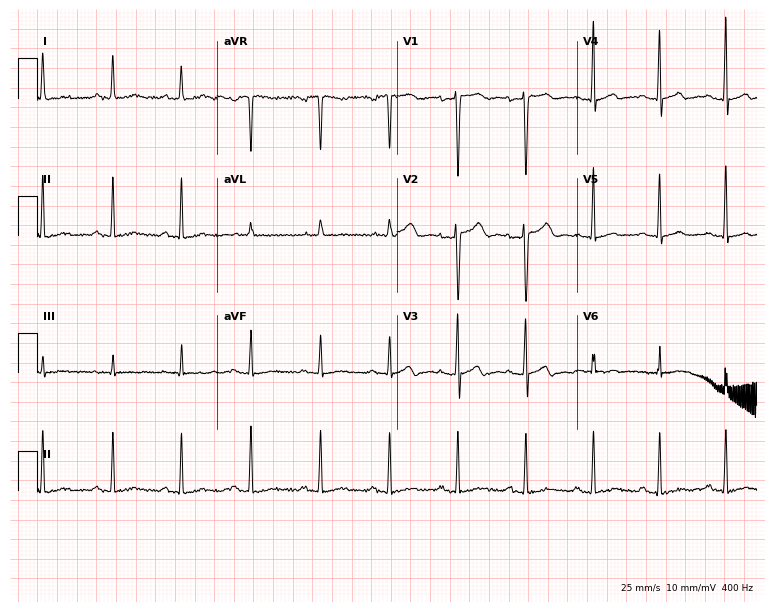
Resting 12-lead electrocardiogram (7.3-second recording at 400 Hz). Patient: a 54-year-old female. None of these six findings is recorded: first-degree AV block, right bundle branch block, left bundle branch block, sinus bradycardia, atrial fibrillation, sinus tachycardia. Other findings, if any, are not listed.